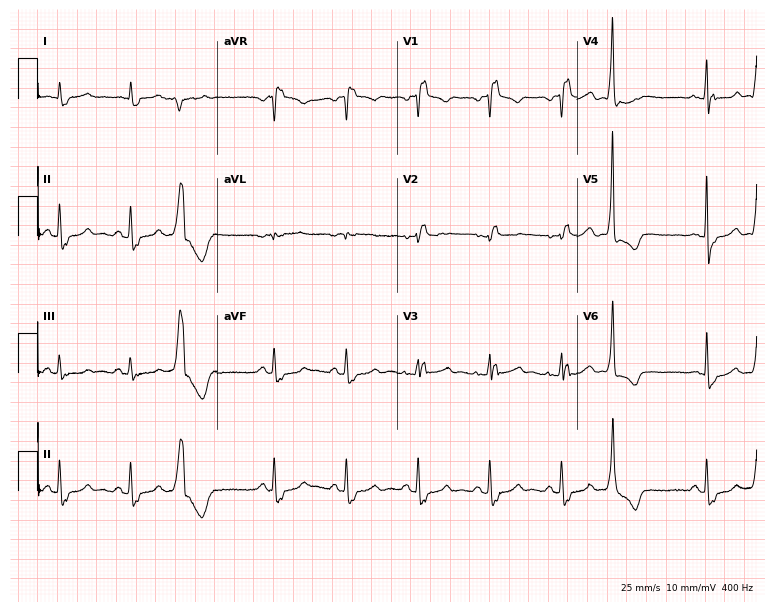
Electrocardiogram, a male patient, 74 years old. Interpretation includes right bundle branch block.